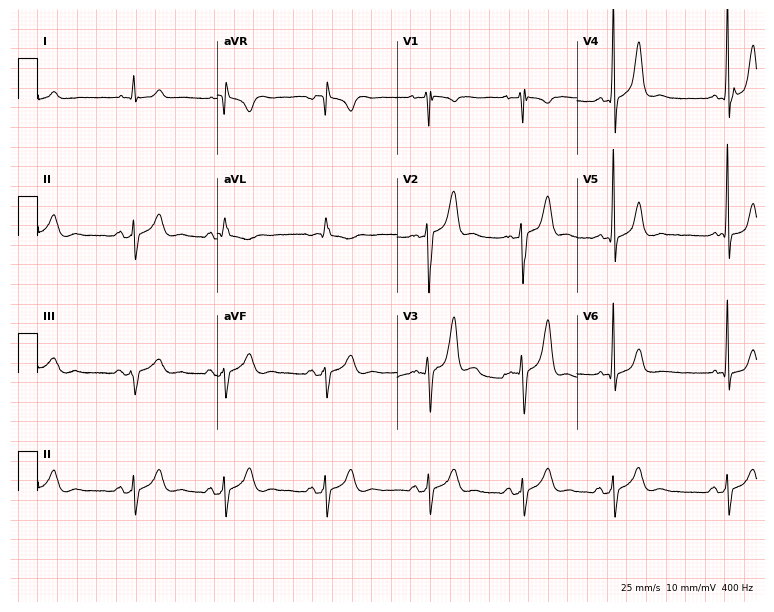
12-lead ECG from a 36-year-old male patient. Screened for six findings — first-degree AV block, right bundle branch block, left bundle branch block, sinus bradycardia, atrial fibrillation, sinus tachycardia — none is recorded. Only these six findings were labelled.